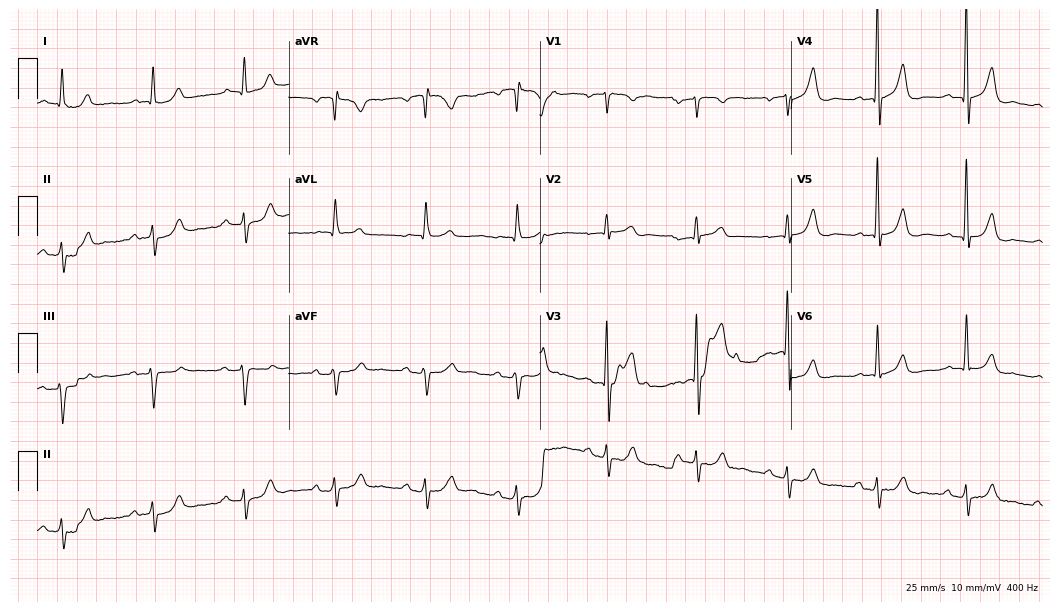
Standard 12-lead ECG recorded from a male patient, 68 years old. Read as a normal ECG.